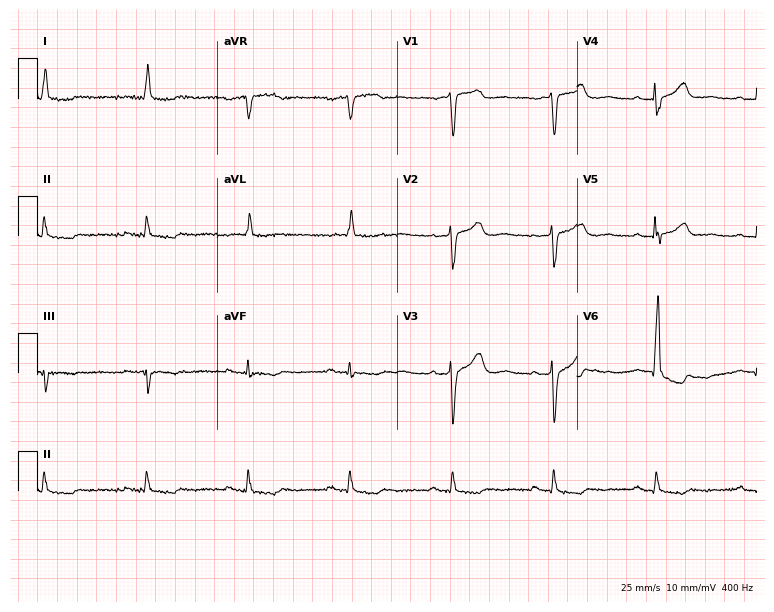
12-lead ECG from a male patient, 77 years old. No first-degree AV block, right bundle branch block (RBBB), left bundle branch block (LBBB), sinus bradycardia, atrial fibrillation (AF) or sinus tachycardia recorded for this tracing.